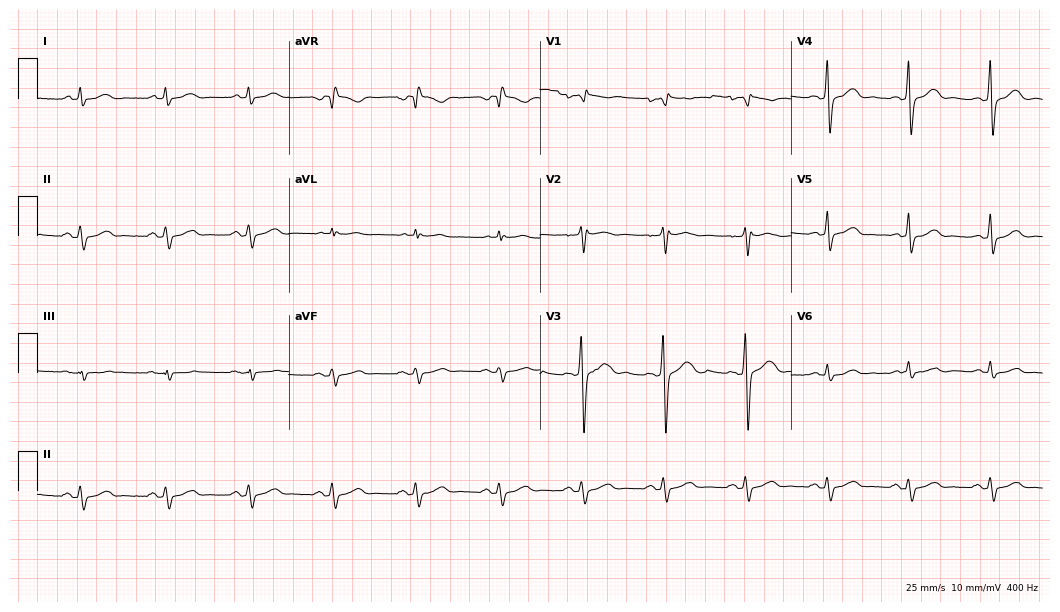
Electrocardiogram, a male patient, 46 years old. Of the six screened findings (first-degree AV block, right bundle branch block, left bundle branch block, sinus bradycardia, atrial fibrillation, sinus tachycardia), none is recorded.